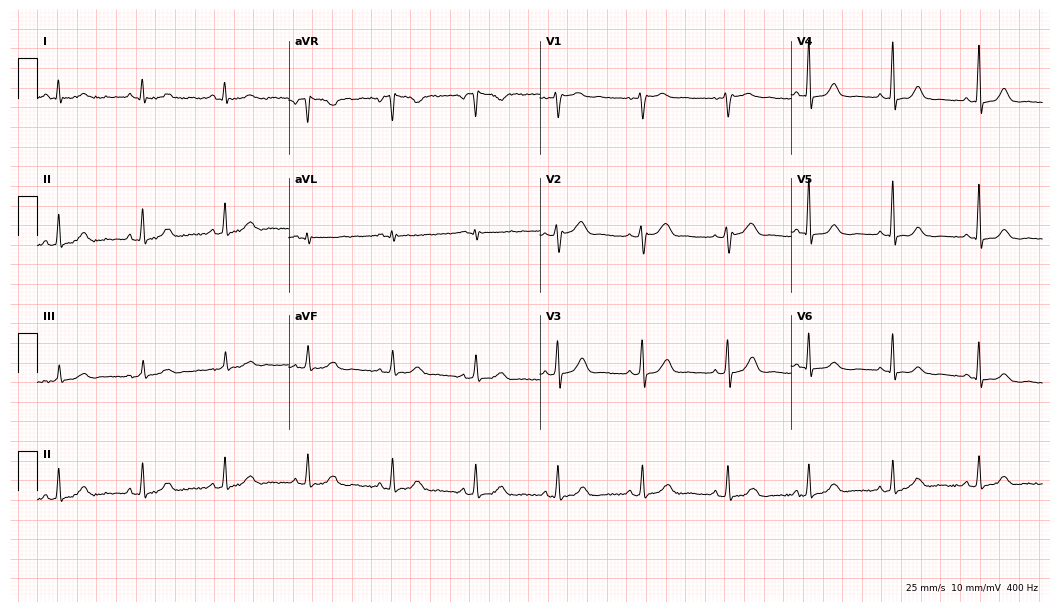
Electrocardiogram (10.2-second recording at 400 Hz), a female patient, 42 years old. Of the six screened findings (first-degree AV block, right bundle branch block (RBBB), left bundle branch block (LBBB), sinus bradycardia, atrial fibrillation (AF), sinus tachycardia), none is recorded. Findings outside these six are not listed.